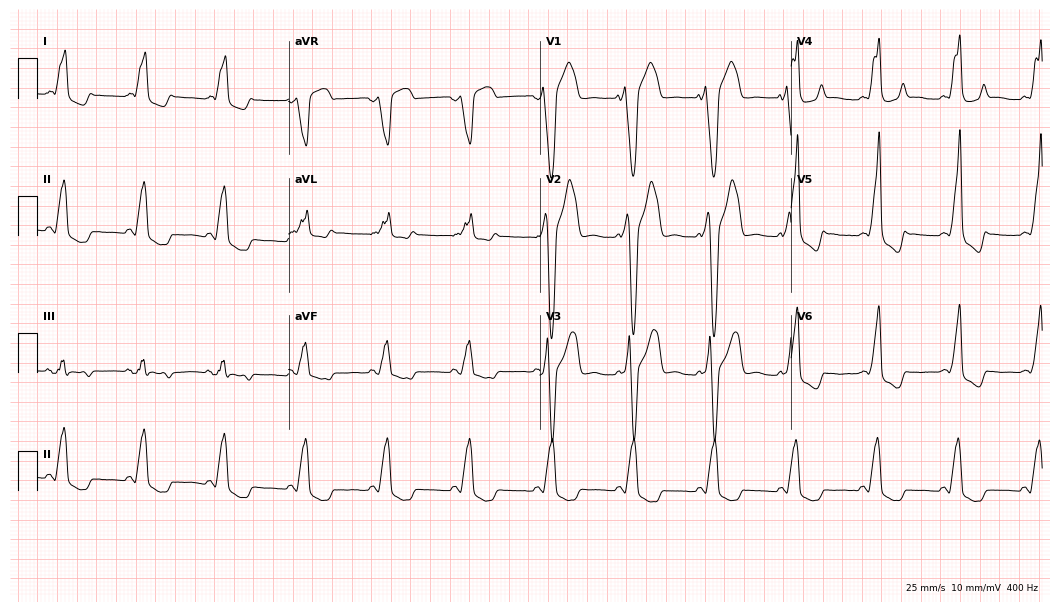
Standard 12-lead ECG recorded from a male, 32 years old (10.2-second recording at 400 Hz). None of these six findings is recorded: first-degree AV block, right bundle branch block (RBBB), left bundle branch block (LBBB), sinus bradycardia, atrial fibrillation (AF), sinus tachycardia. Other findings, if any, are not listed.